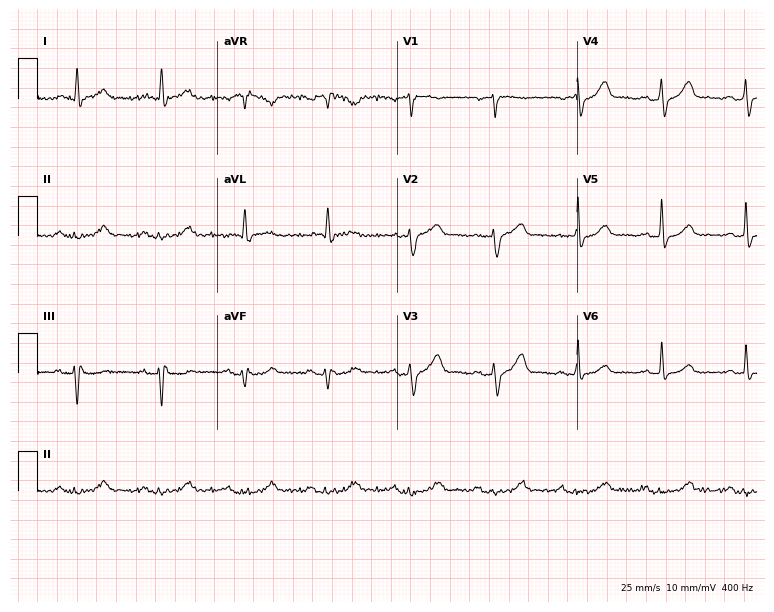
Electrocardiogram (7.3-second recording at 400 Hz), a male patient, 76 years old. Of the six screened findings (first-degree AV block, right bundle branch block (RBBB), left bundle branch block (LBBB), sinus bradycardia, atrial fibrillation (AF), sinus tachycardia), none is recorded.